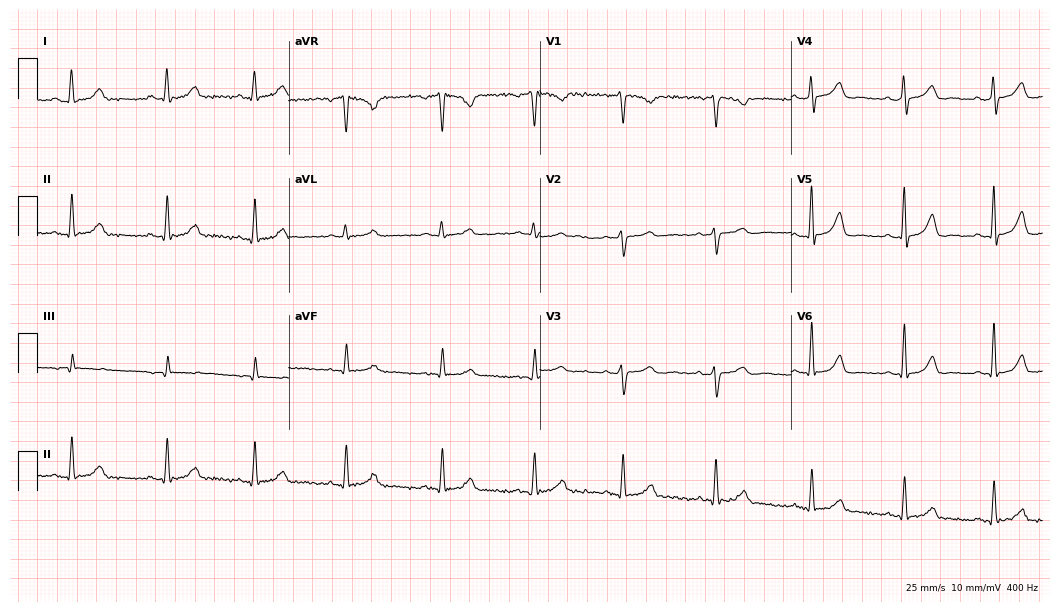
12-lead ECG from a female patient, 34 years old. Recorded interpretation: within normal limits.